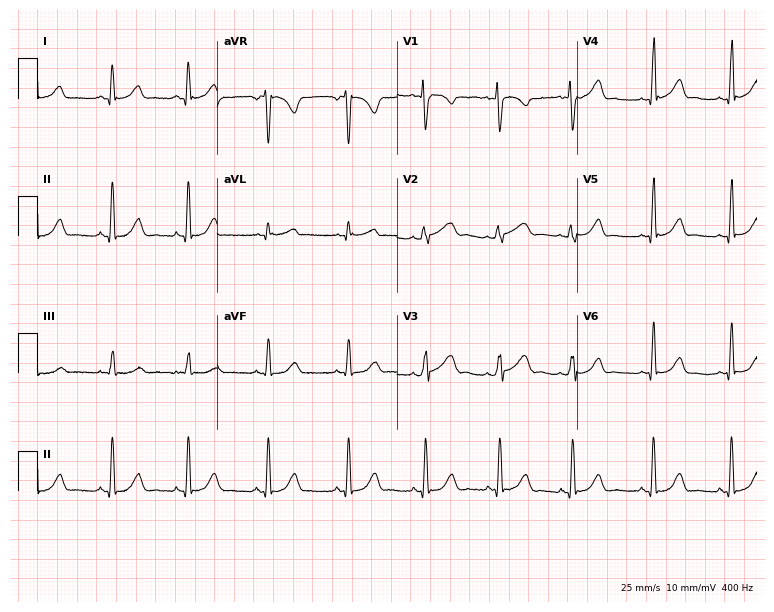
Electrocardiogram, a 33-year-old woman. Overall reading on record: normal ECG.